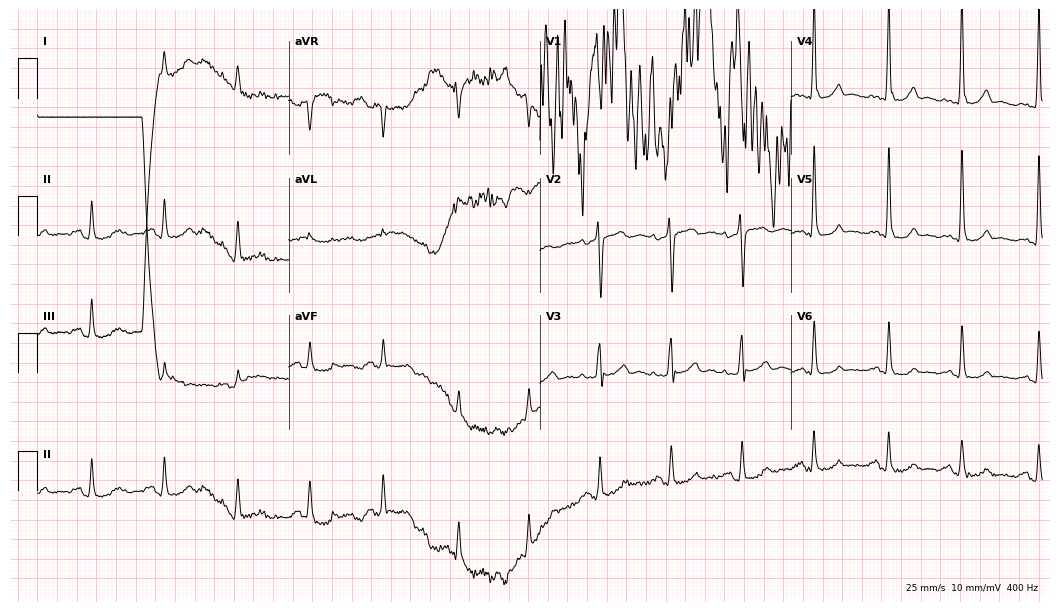
12-lead ECG from a 49-year-old man. Screened for six findings — first-degree AV block, right bundle branch block, left bundle branch block, sinus bradycardia, atrial fibrillation, sinus tachycardia — none is recorded.